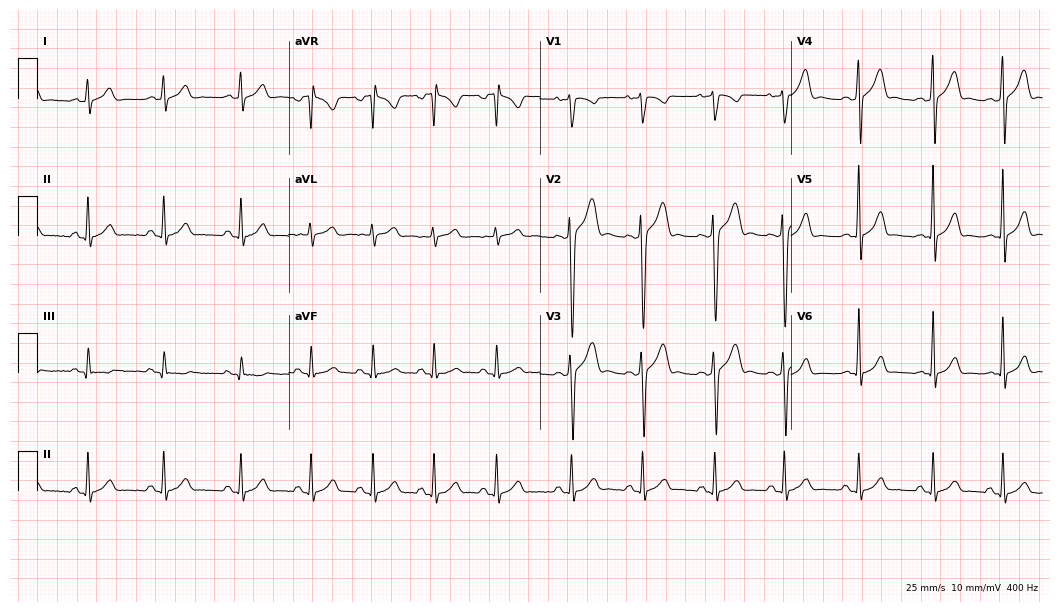
Electrocardiogram, a 19-year-old male patient. Overall reading on record: normal ECG.